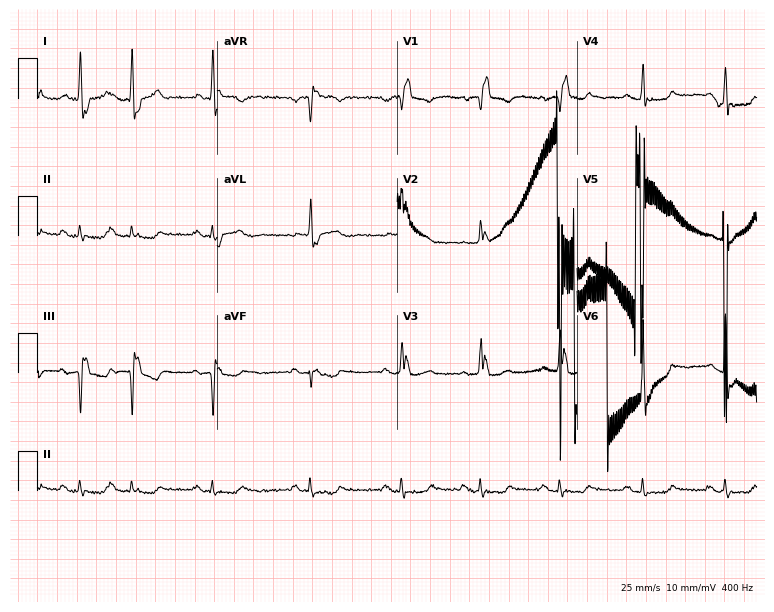
12-lead ECG from a 76-year-old male. Screened for six findings — first-degree AV block, right bundle branch block, left bundle branch block, sinus bradycardia, atrial fibrillation, sinus tachycardia — none is recorded. Other findings, if any, are not listed.